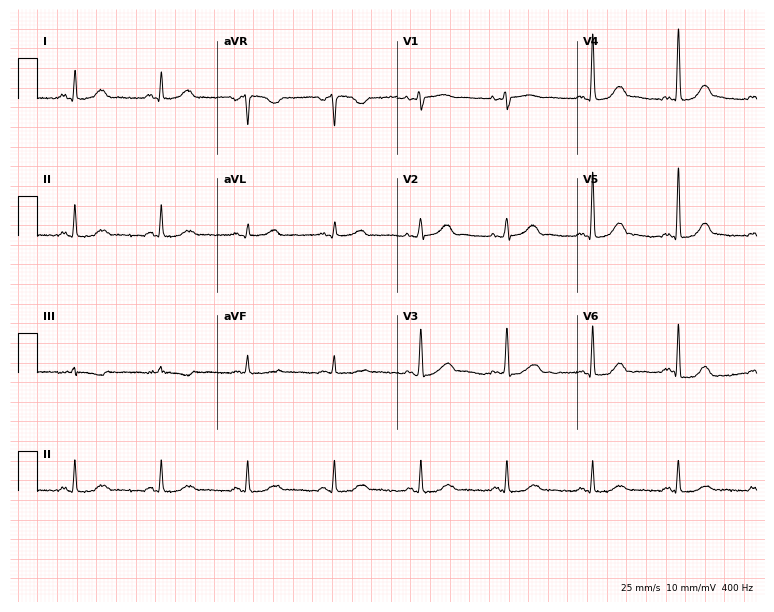
12-lead ECG (7.3-second recording at 400 Hz) from a 51-year-old woman. Labelled as a normal ECG.